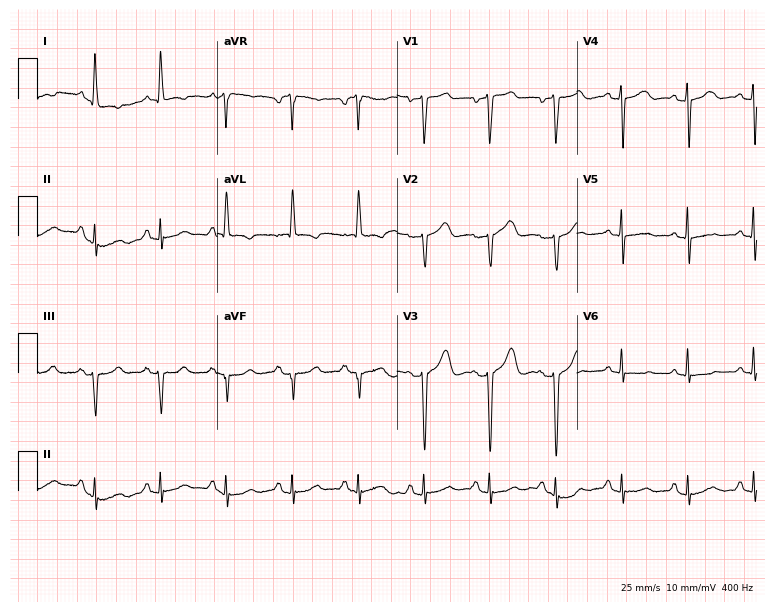
12-lead ECG from a female, 80 years old (7.3-second recording at 400 Hz). No first-degree AV block, right bundle branch block, left bundle branch block, sinus bradycardia, atrial fibrillation or sinus tachycardia recorded for this tracing.